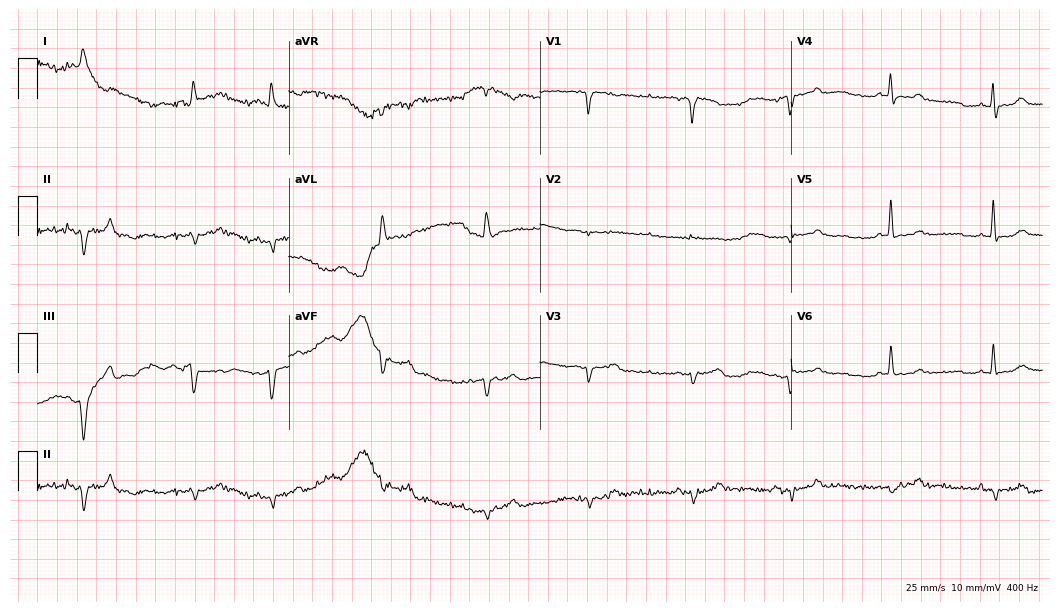
12-lead ECG (10.2-second recording at 400 Hz) from a man, 72 years old. Screened for six findings — first-degree AV block, right bundle branch block, left bundle branch block, sinus bradycardia, atrial fibrillation, sinus tachycardia — none is recorded. Findings outside these six are not listed.